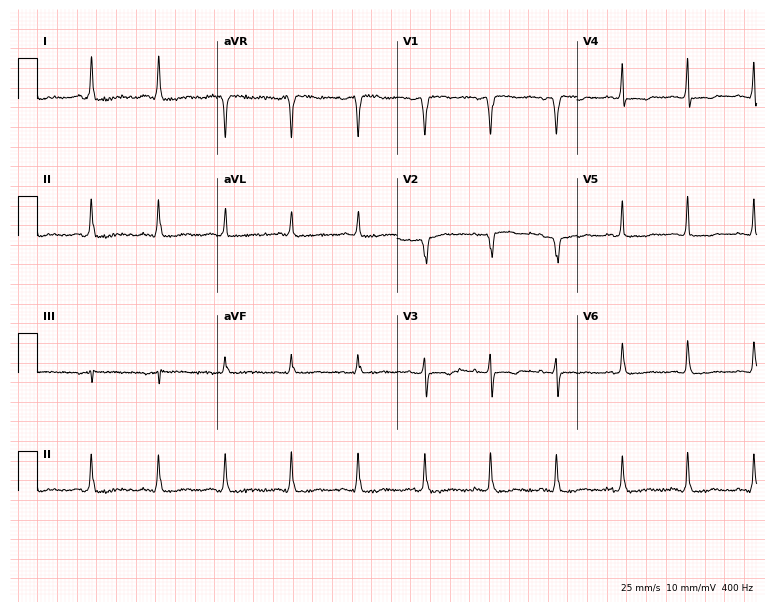
Resting 12-lead electrocardiogram (7.3-second recording at 400 Hz). Patient: a 48-year-old female. None of these six findings is recorded: first-degree AV block, right bundle branch block (RBBB), left bundle branch block (LBBB), sinus bradycardia, atrial fibrillation (AF), sinus tachycardia.